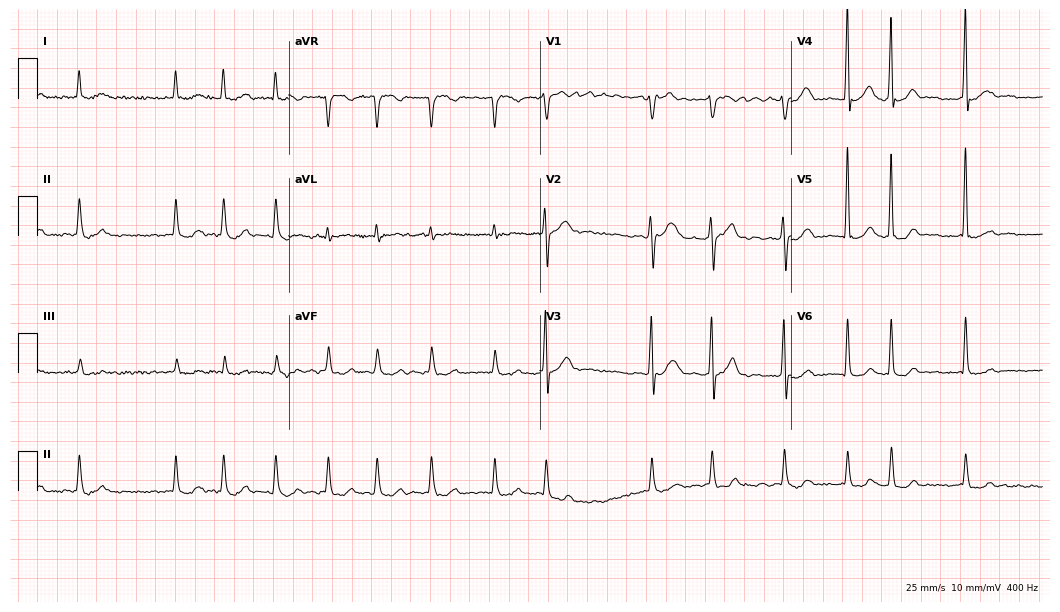
Standard 12-lead ECG recorded from a 77-year-old male patient (10.2-second recording at 400 Hz). The tracing shows atrial fibrillation (AF).